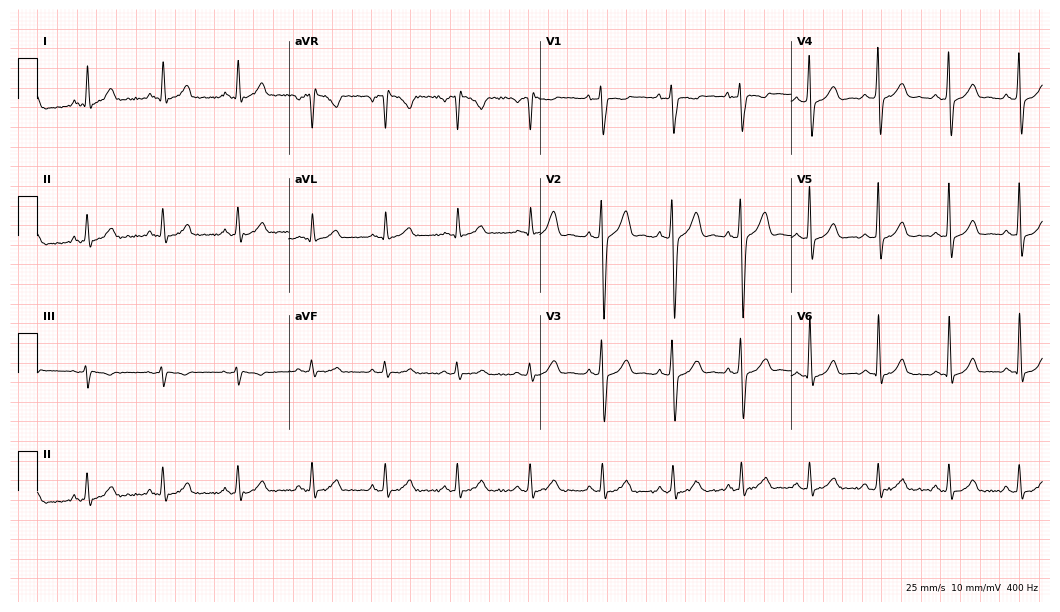
Resting 12-lead electrocardiogram (10.2-second recording at 400 Hz). Patient: a 45-year-old man. Read as a normal ECG.